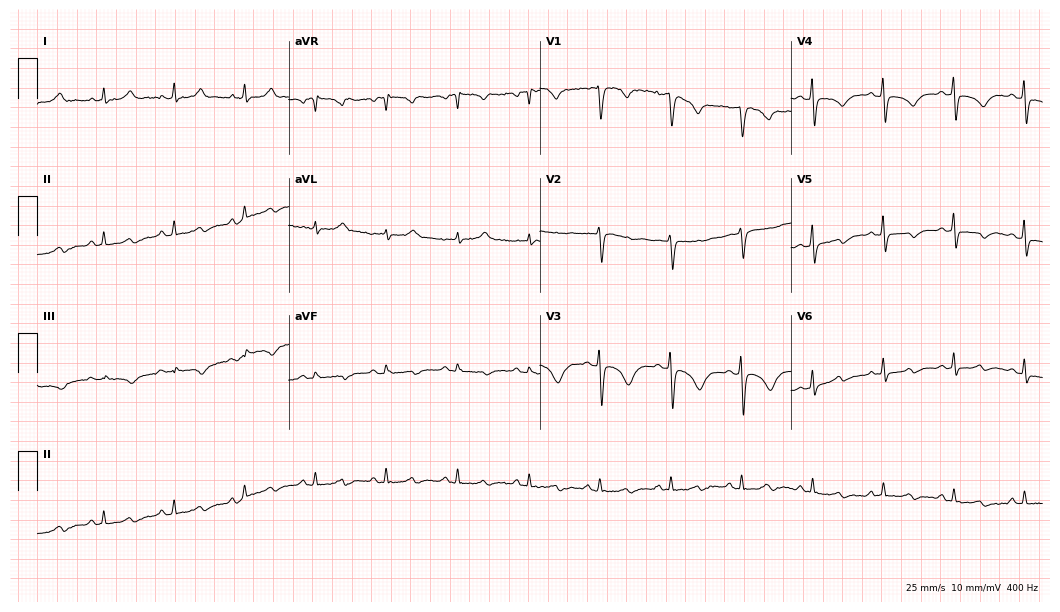
Standard 12-lead ECG recorded from a 61-year-old male. None of these six findings is recorded: first-degree AV block, right bundle branch block (RBBB), left bundle branch block (LBBB), sinus bradycardia, atrial fibrillation (AF), sinus tachycardia.